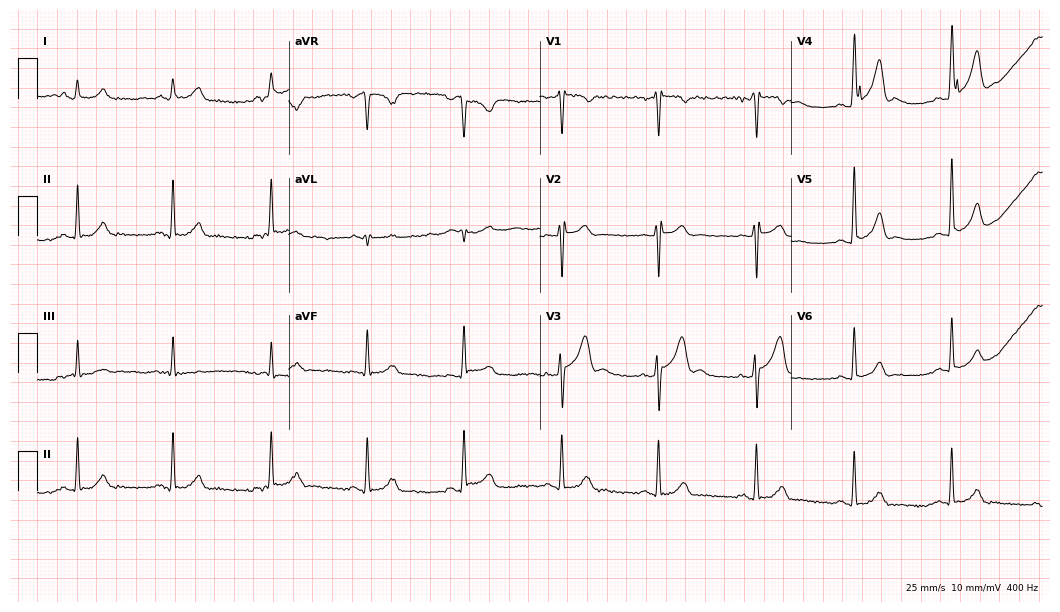
12-lead ECG from a 56-year-old male patient. No first-degree AV block, right bundle branch block, left bundle branch block, sinus bradycardia, atrial fibrillation or sinus tachycardia recorded for this tracing. Only these six findings were labelled.